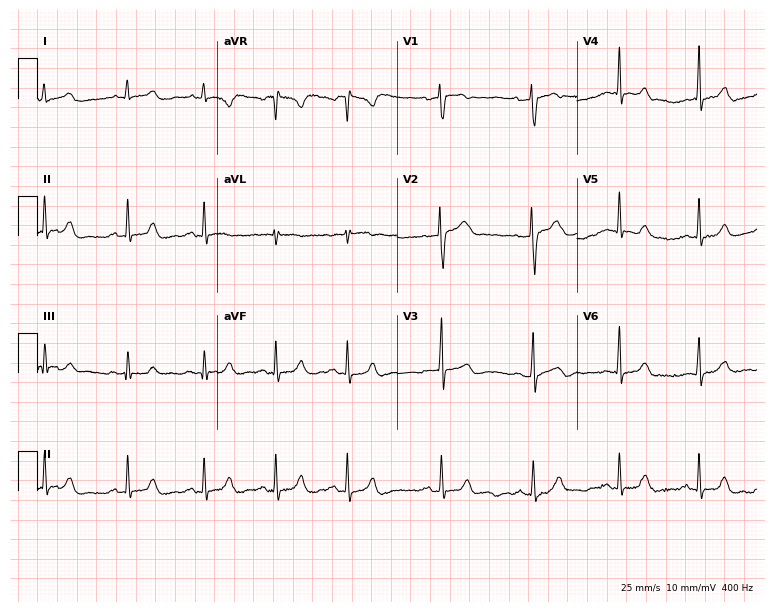
Electrocardiogram (7.3-second recording at 400 Hz), a 40-year-old woman. Overall reading on record: normal ECG.